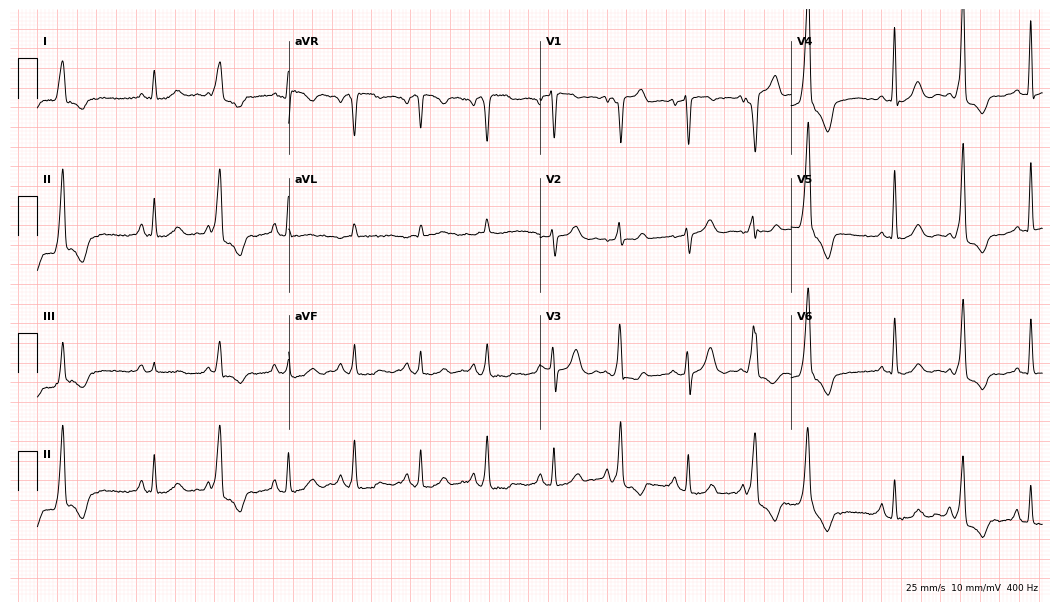
Electrocardiogram, a 78-year-old male. Of the six screened findings (first-degree AV block, right bundle branch block, left bundle branch block, sinus bradycardia, atrial fibrillation, sinus tachycardia), none is recorded. Findings outside these six are not listed.